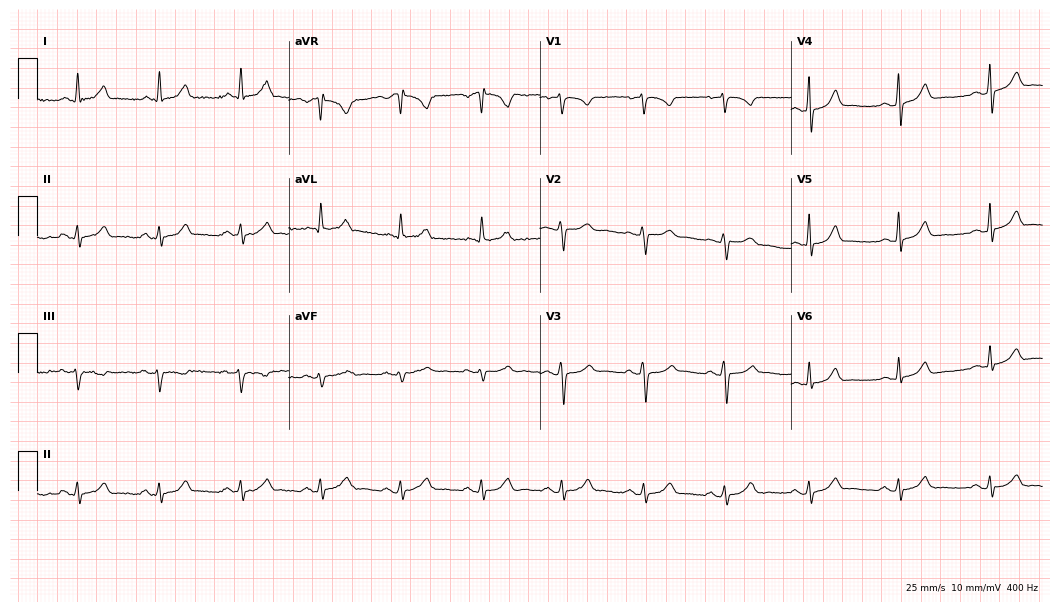
12-lead ECG from a woman, 49 years old (10.2-second recording at 400 Hz). Recorded interpretation: within normal limits.